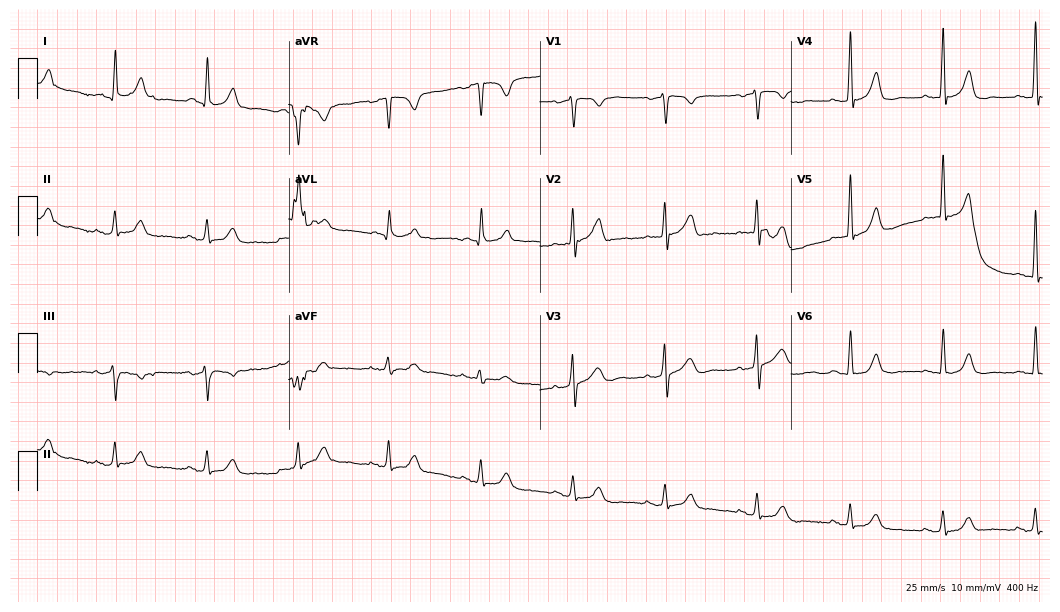
12-lead ECG from a man, 60 years old (10.2-second recording at 400 Hz). Recorded interpretation: within normal limits.